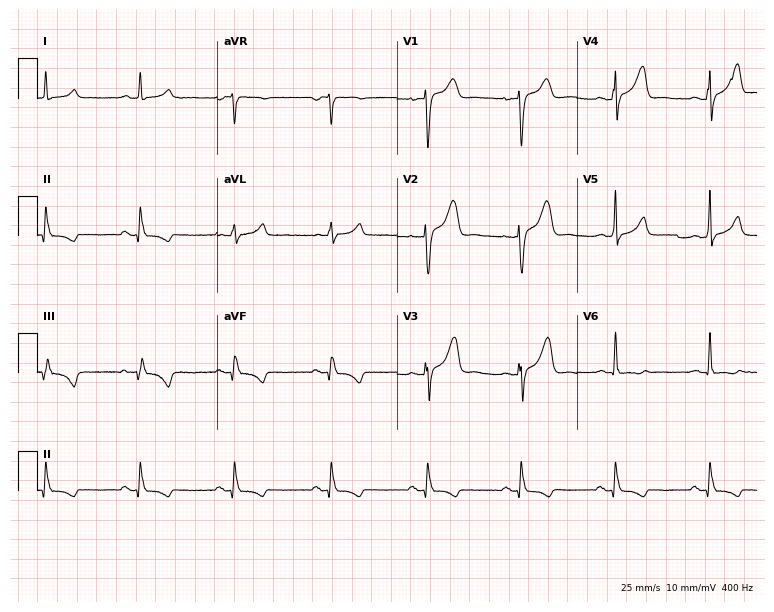
ECG (7.3-second recording at 400 Hz) — a female patient, 60 years old. Screened for six findings — first-degree AV block, right bundle branch block (RBBB), left bundle branch block (LBBB), sinus bradycardia, atrial fibrillation (AF), sinus tachycardia — none is recorded.